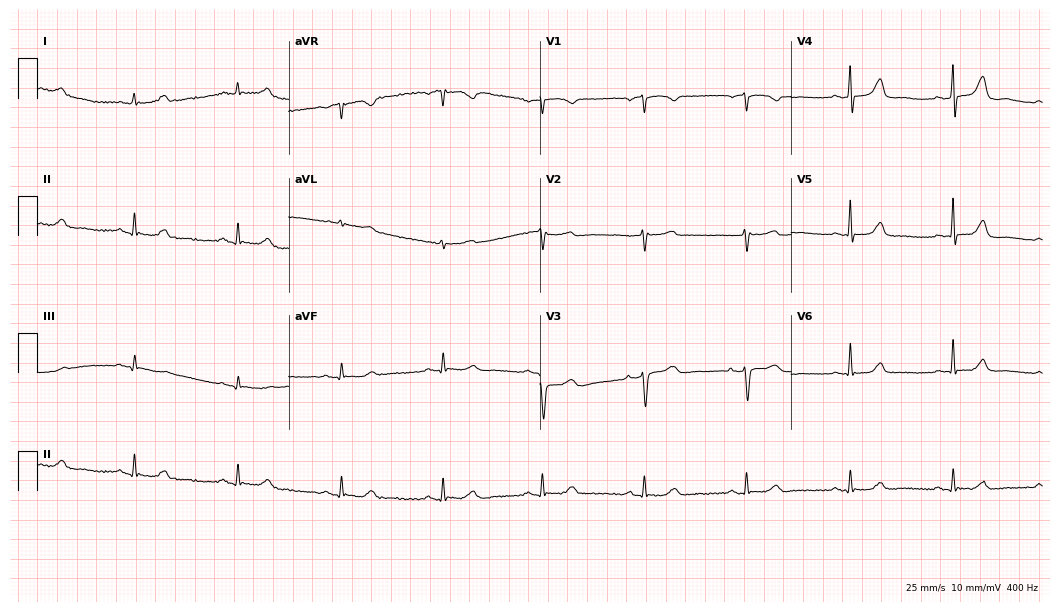
12-lead ECG (10.2-second recording at 400 Hz) from a 63-year-old female. Labelled as a normal ECG.